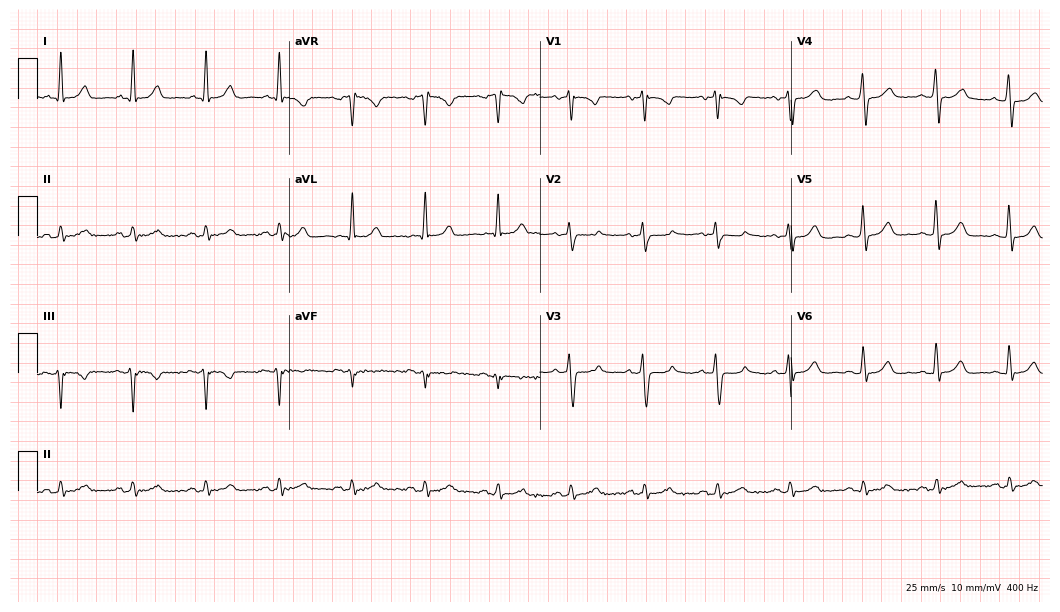
Resting 12-lead electrocardiogram. Patient: a male, 79 years old. Read as a normal ECG.